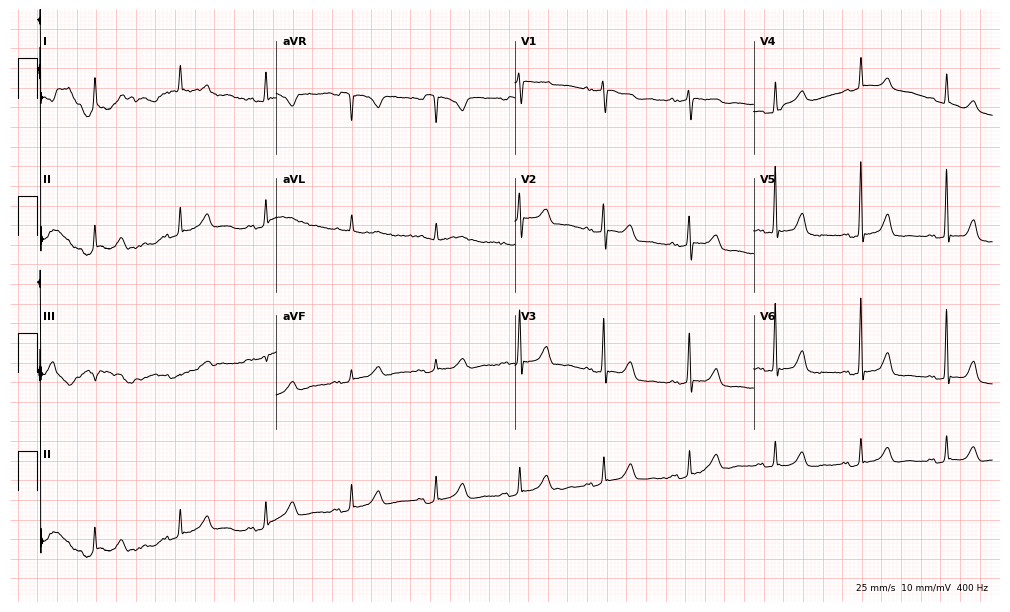
Standard 12-lead ECG recorded from a man, 43 years old (9.7-second recording at 400 Hz). None of these six findings is recorded: first-degree AV block, right bundle branch block, left bundle branch block, sinus bradycardia, atrial fibrillation, sinus tachycardia. Other findings, if any, are not listed.